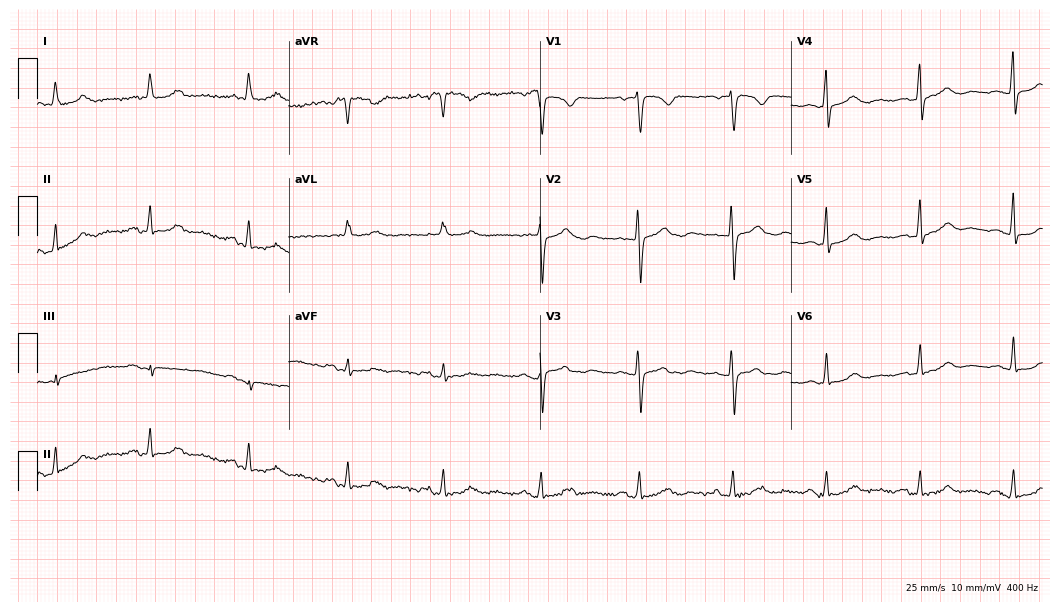
ECG (10.2-second recording at 400 Hz) — a female, 65 years old. Findings include first-degree AV block.